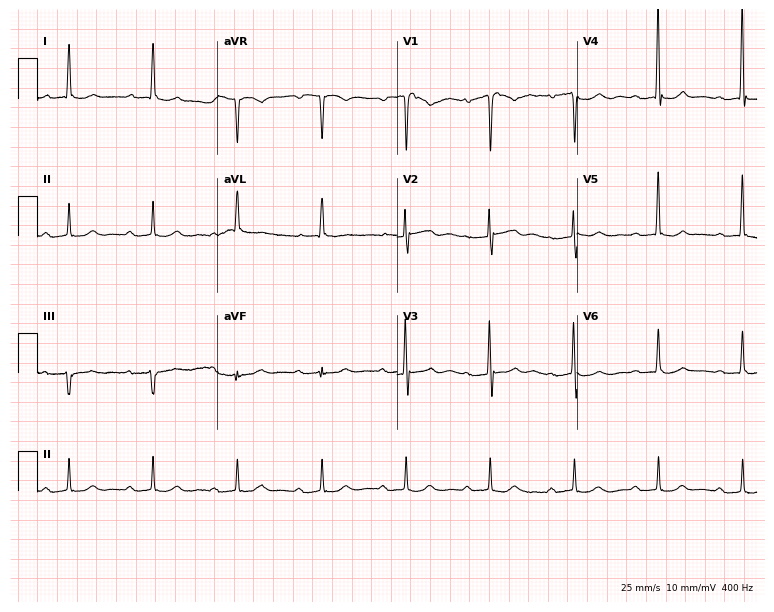
Standard 12-lead ECG recorded from a 79-year-old female (7.3-second recording at 400 Hz). None of these six findings is recorded: first-degree AV block, right bundle branch block, left bundle branch block, sinus bradycardia, atrial fibrillation, sinus tachycardia. Findings outside these six are not listed.